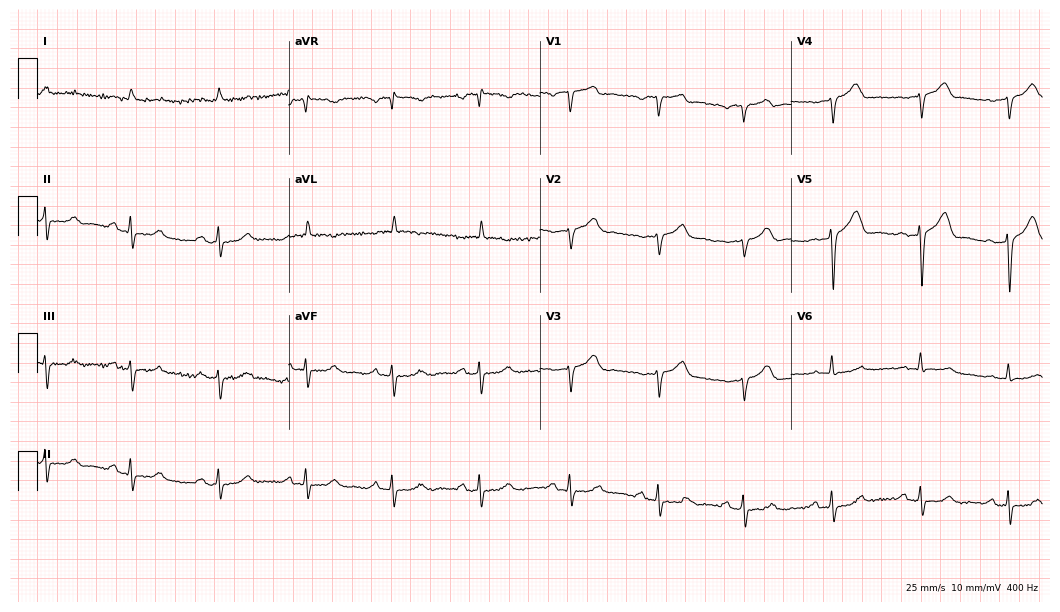
Standard 12-lead ECG recorded from a male, 66 years old (10.2-second recording at 400 Hz). None of these six findings is recorded: first-degree AV block, right bundle branch block, left bundle branch block, sinus bradycardia, atrial fibrillation, sinus tachycardia. Other findings, if any, are not listed.